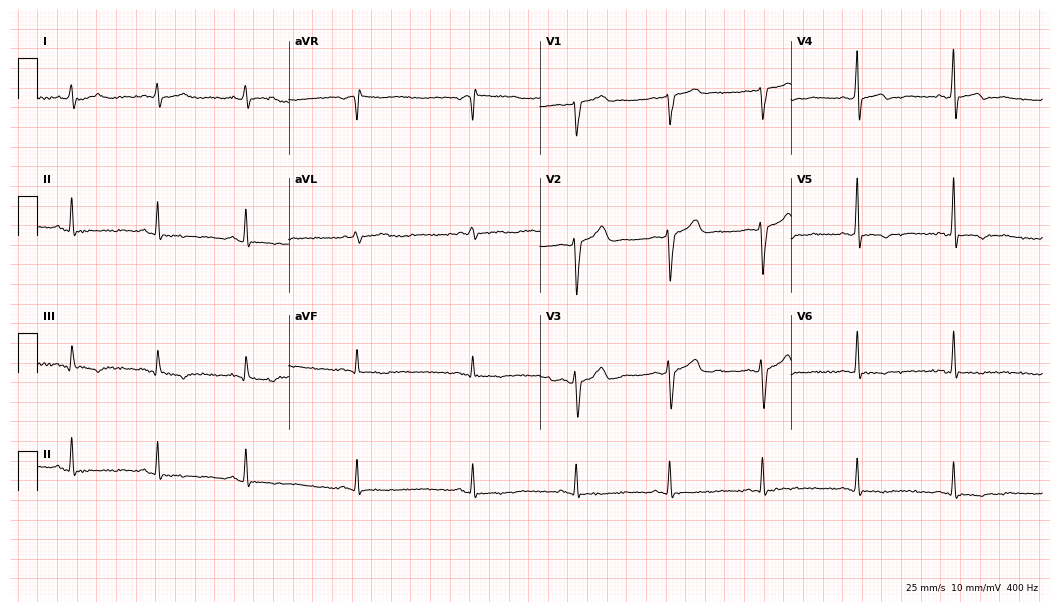
ECG — a 29-year-old man. Labelled as a normal ECG.